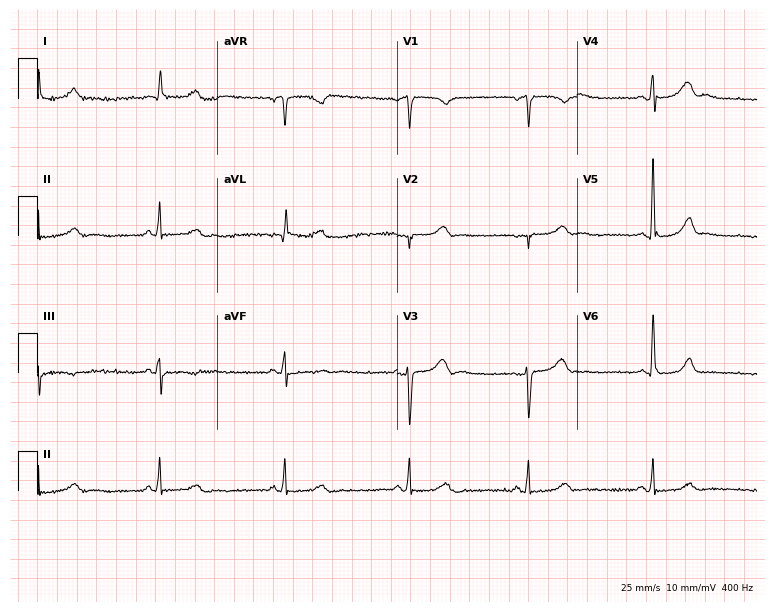
Standard 12-lead ECG recorded from a female, 59 years old (7.3-second recording at 400 Hz). The tracing shows sinus bradycardia (a sinus rate of 50 beats per minute or less).